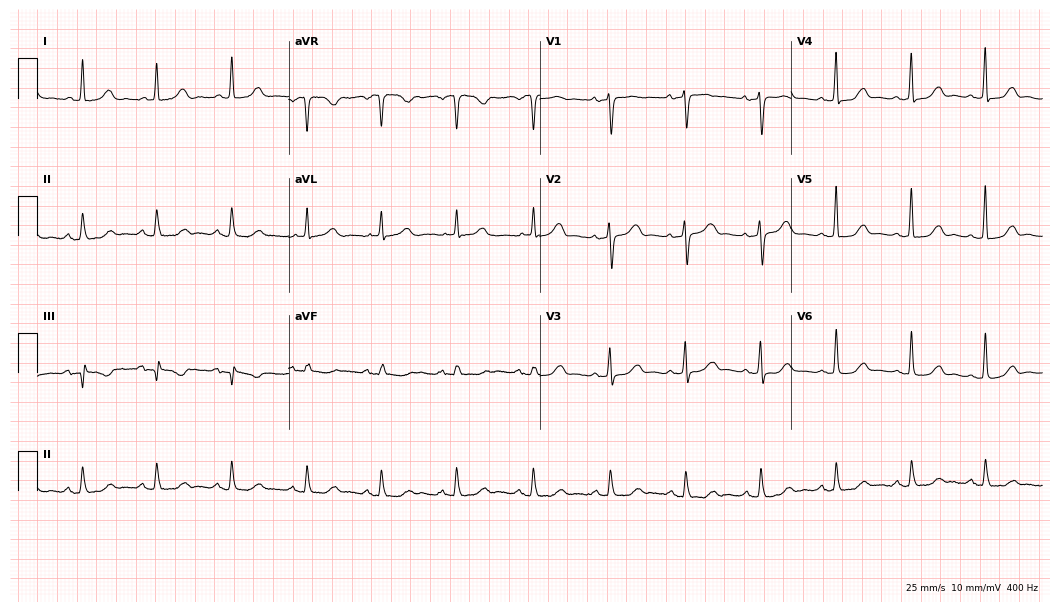
Electrocardiogram, a 69-year-old female. Overall reading on record: normal ECG.